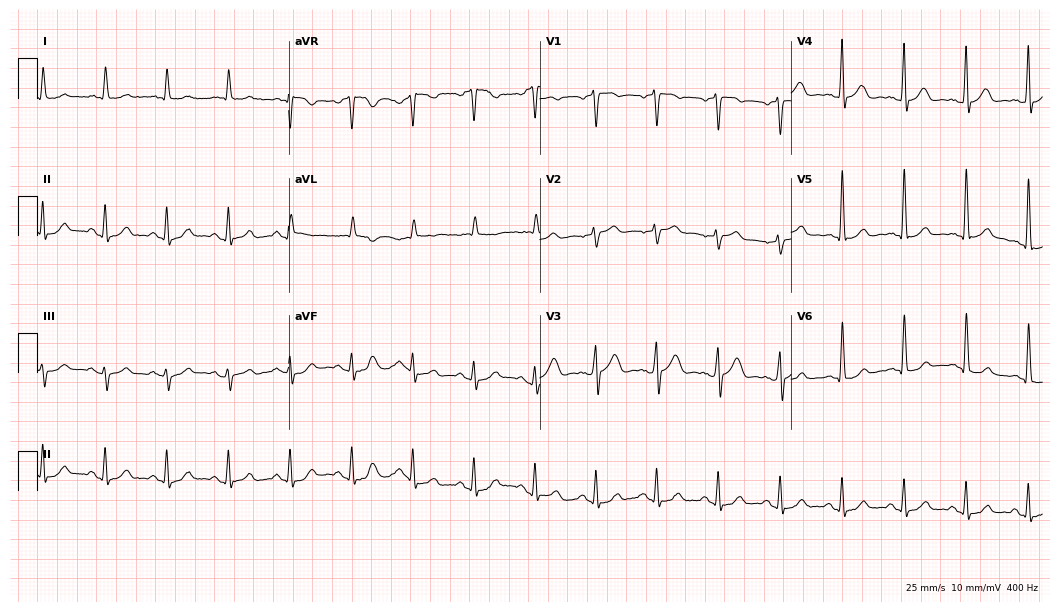
12-lead ECG from an 81-year-old man (10.2-second recording at 400 Hz). Recorded interpretation: within normal limits.